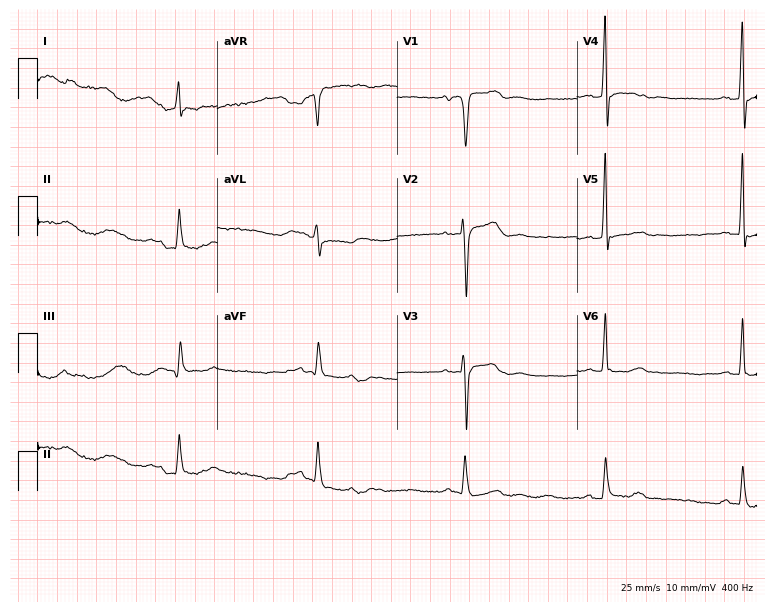
Standard 12-lead ECG recorded from a 57-year-old male patient. None of these six findings is recorded: first-degree AV block, right bundle branch block, left bundle branch block, sinus bradycardia, atrial fibrillation, sinus tachycardia. Only these six findings were labelled.